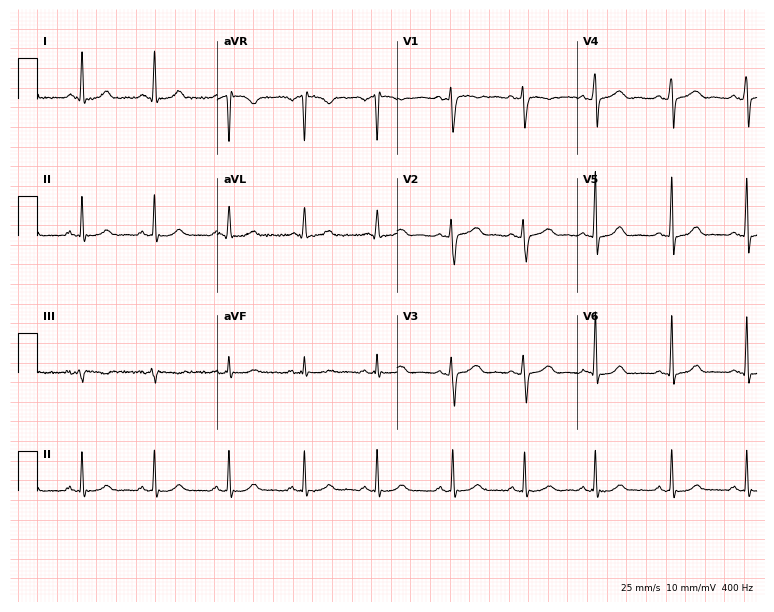
Standard 12-lead ECG recorded from a female, 34 years old (7.3-second recording at 400 Hz). None of these six findings is recorded: first-degree AV block, right bundle branch block, left bundle branch block, sinus bradycardia, atrial fibrillation, sinus tachycardia.